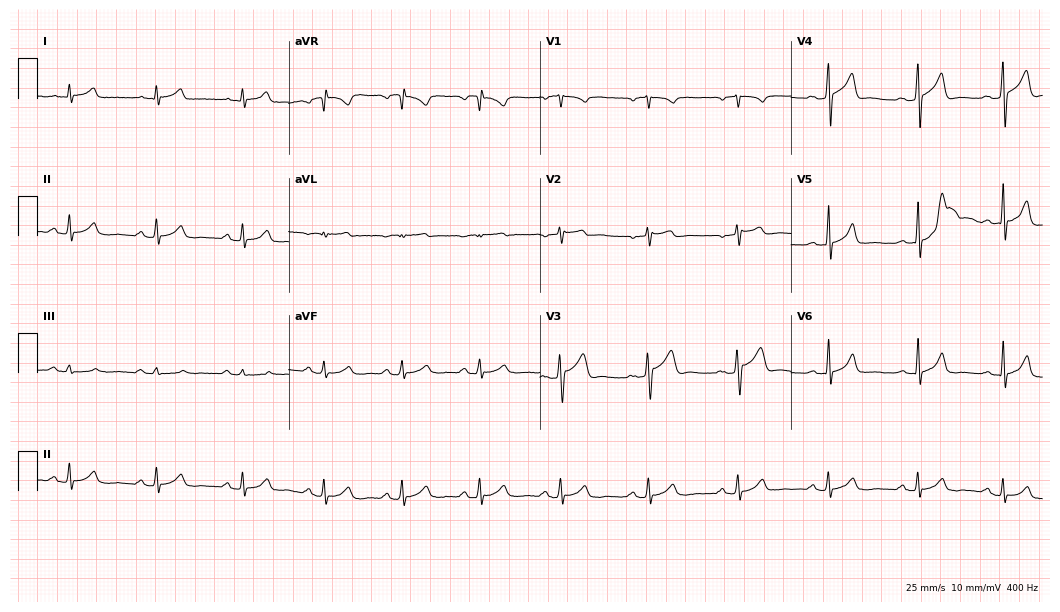
12-lead ECG from a 33-year-old man (10.2-second recording at 400 Hz). Recorded interpretation: within normal limits.